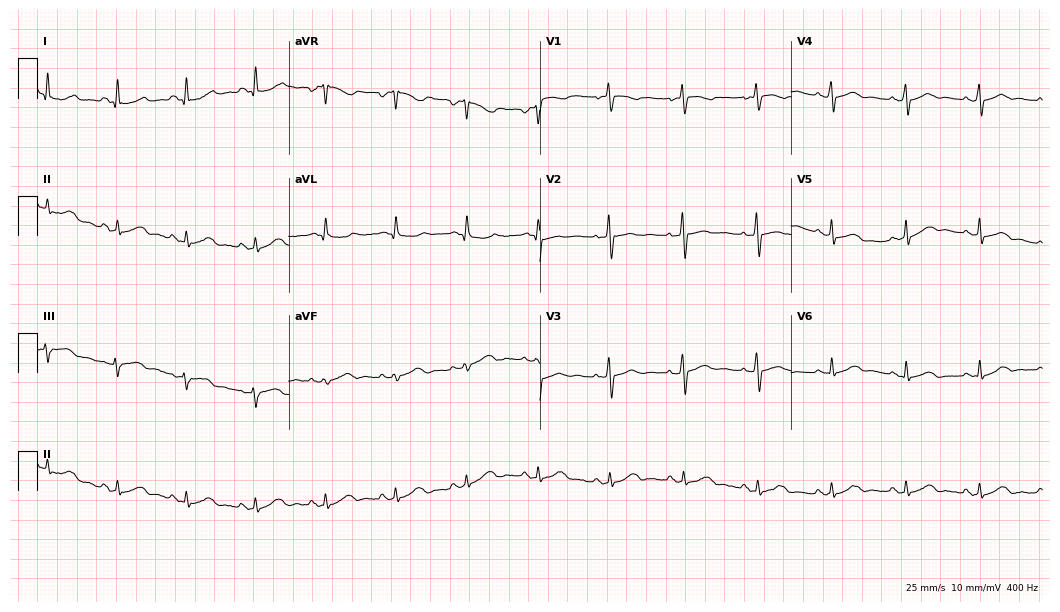
Resting 12-lead electrocardiogram (10.2-second recording at 400 Hz). Patient: a female, 50 years old. Read as a normal ECG.